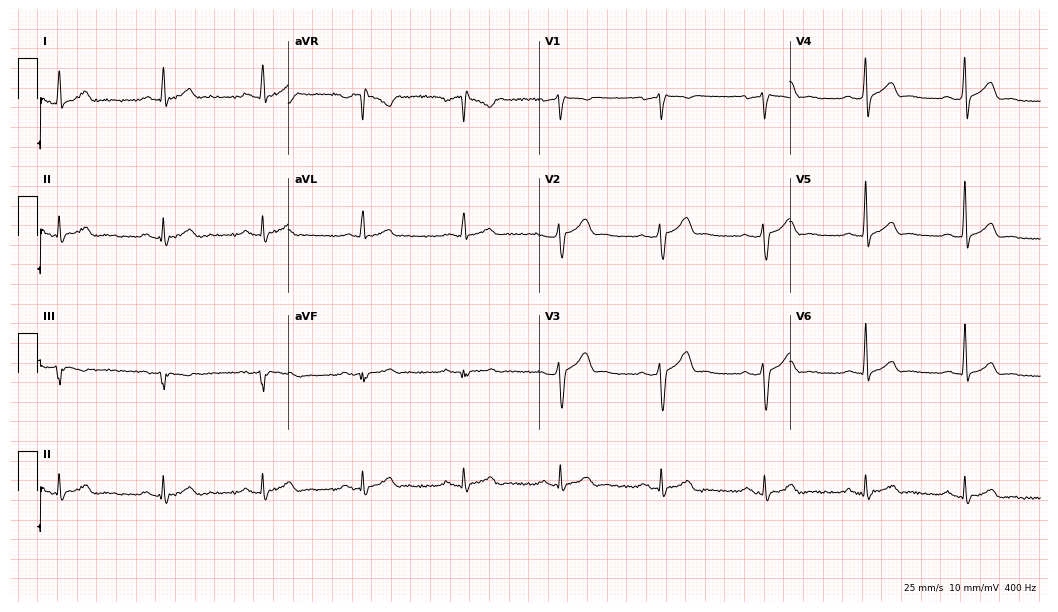
Standard 12-lead ECG recorded from a 43-year-old male patient. Read as a normal ECG.